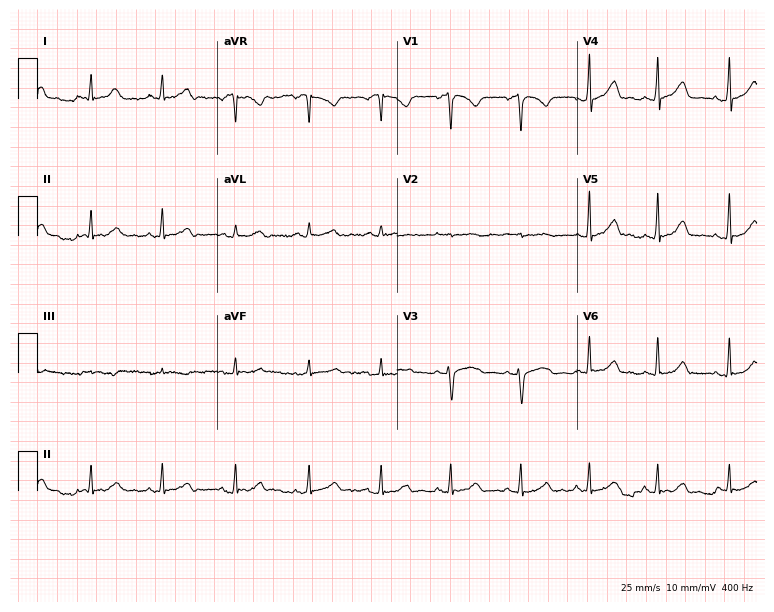
12-lead ECG from a woman, 28 years old. Recorded interpretation: within normal limits.